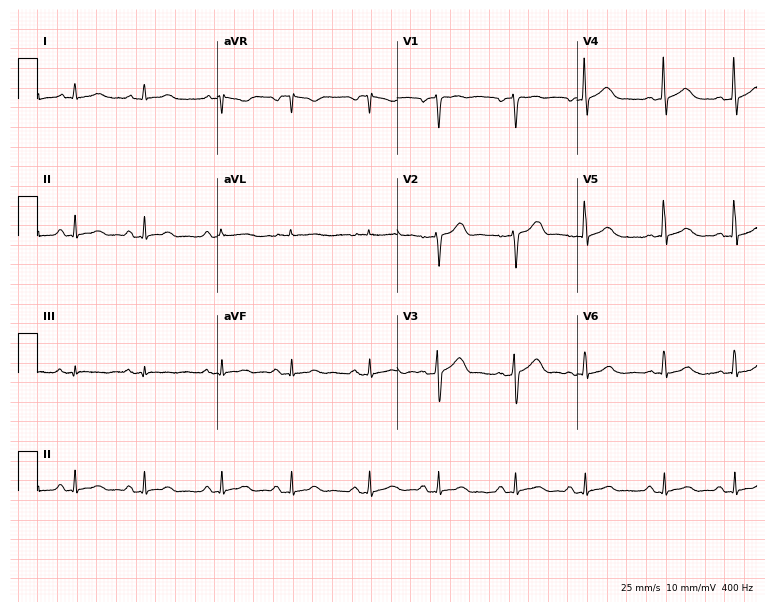
Electrocardiogram, a male patient, 70 years old. Overall reading on record: normal ECG.